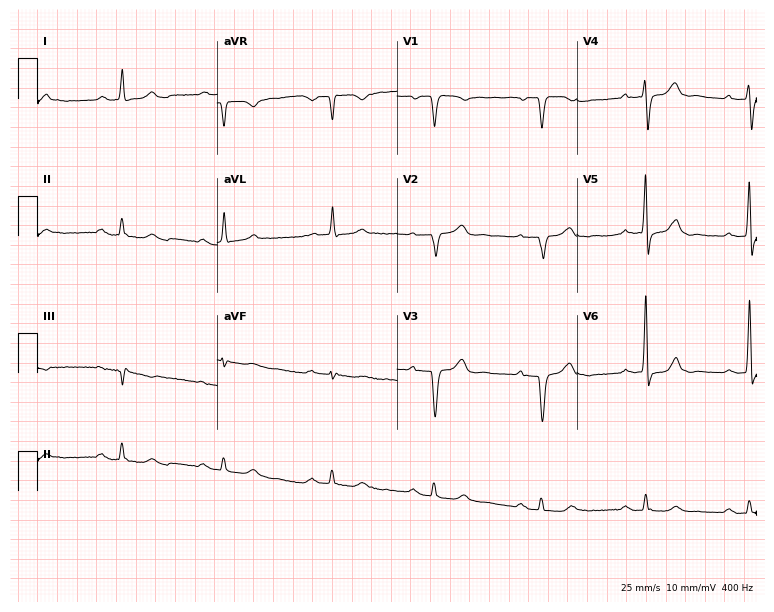
Standard 12-lead ECG recorded from a man, 73 years old. The tracing shows first-degree AV block.